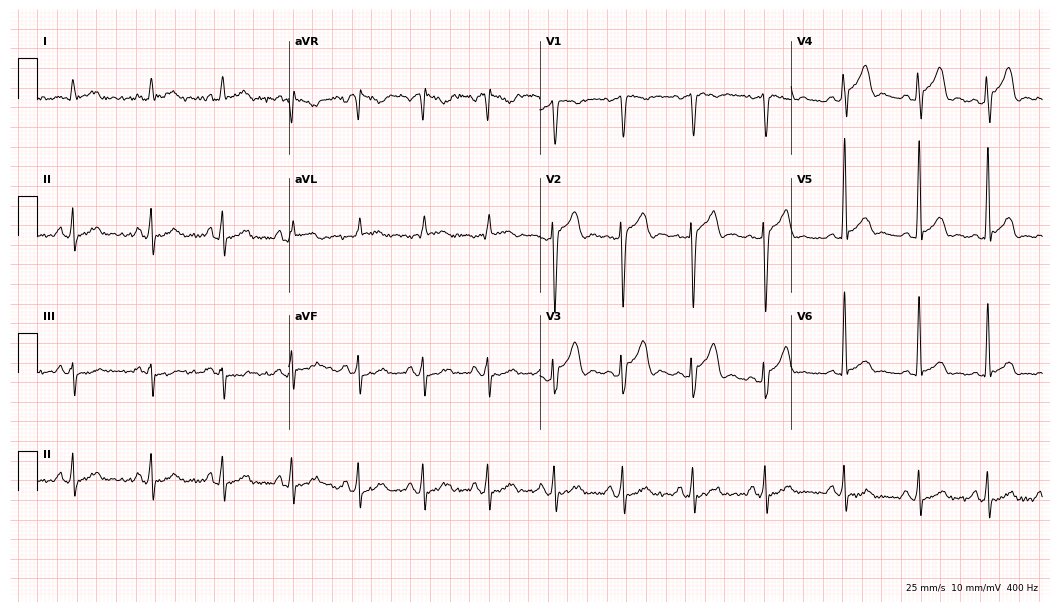
Standard 12-lead ECG recorded from a male patient, 29 years old (10.2-second recording at 400 Hz). None of these six findings is recorded: first-degree AV block, right bundle branch block, left bundle branch block, sinus bradycardia, atrial fibrillation, sinus tachycardia. Findings outside these six are not listed.